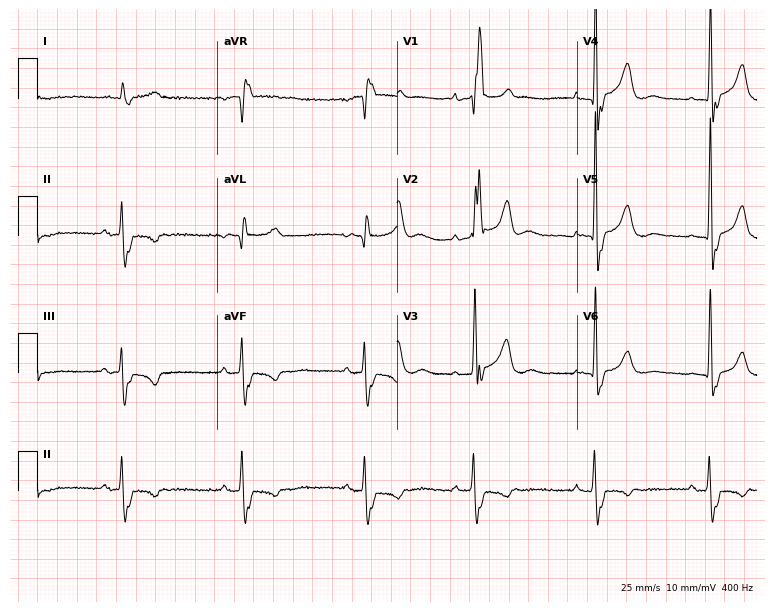
12-lead ECG from a man, 80 years old. Shows right bundle branch block (RBBB).